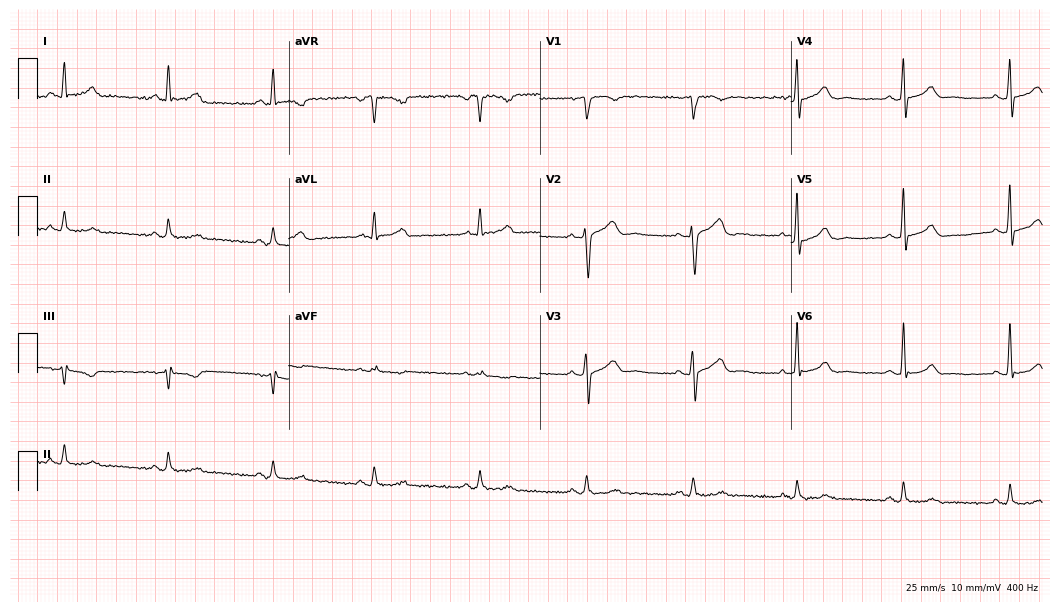
Standard 12-lead ECG recorded from a 48-year-old man (10.2-second recording at 400 Hz). Read as a normal ECG.